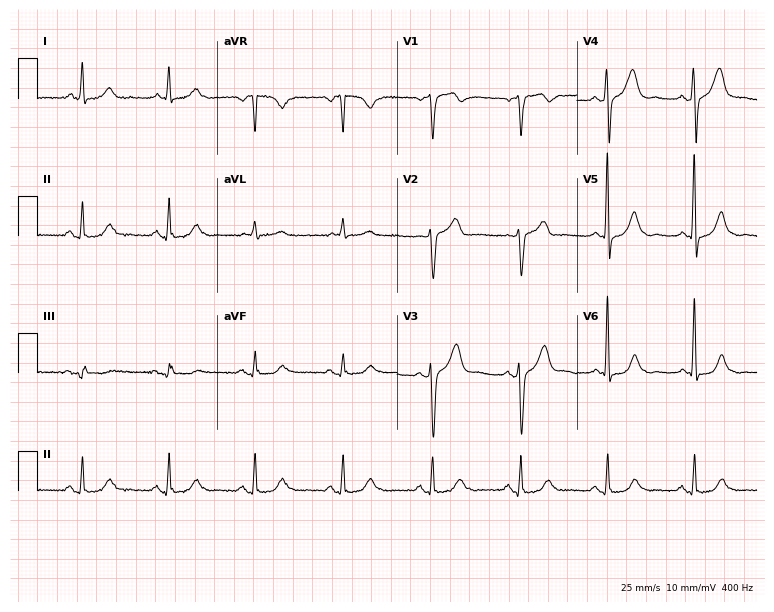
12-lead ECG from a 59-year-old male (7.3-second recording at 400 Hz). Recorded interpretation: within normal limits.